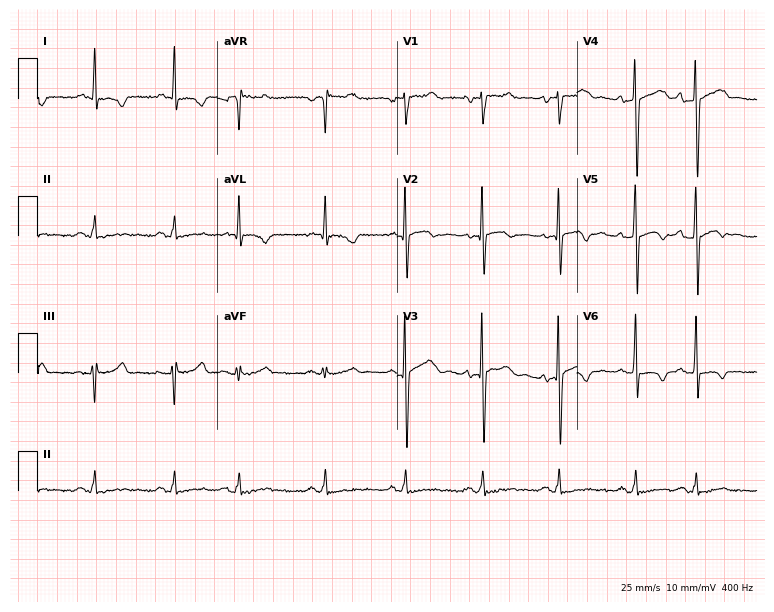
12-lead ECG from a man, 62 years old. Screened for six findings — first-degree AV block, right bundle branch block (RBBB), left bundle branch block (LBBB), sinus bradycardia, atrial fibrillation (AF), sinus tachycardia — none is recorded.